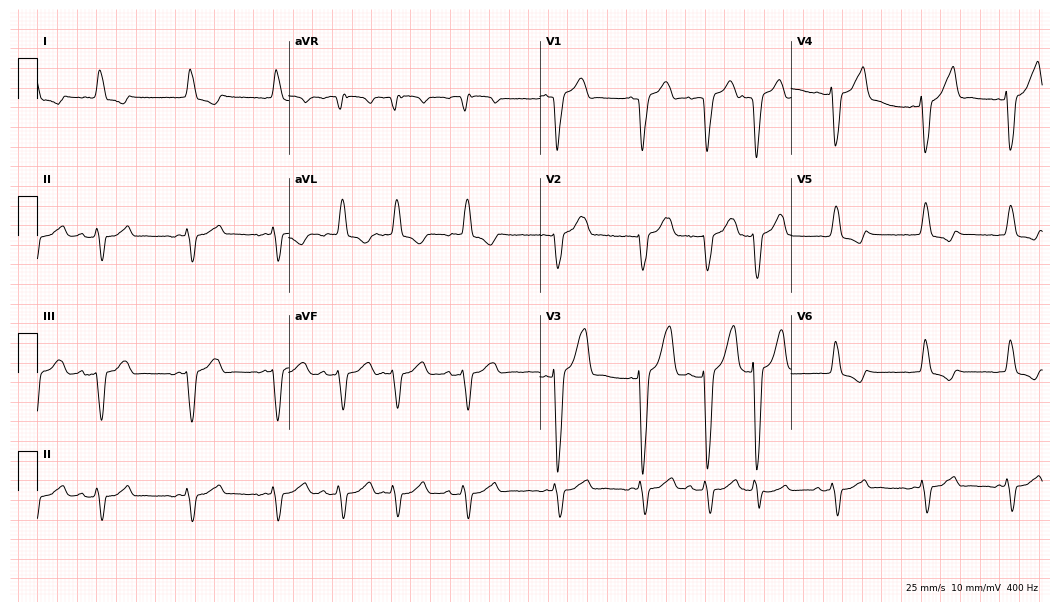
Electrocardiogram, a male patient, 74 years old. Interpretation includes left bundle branch block (LBBB).